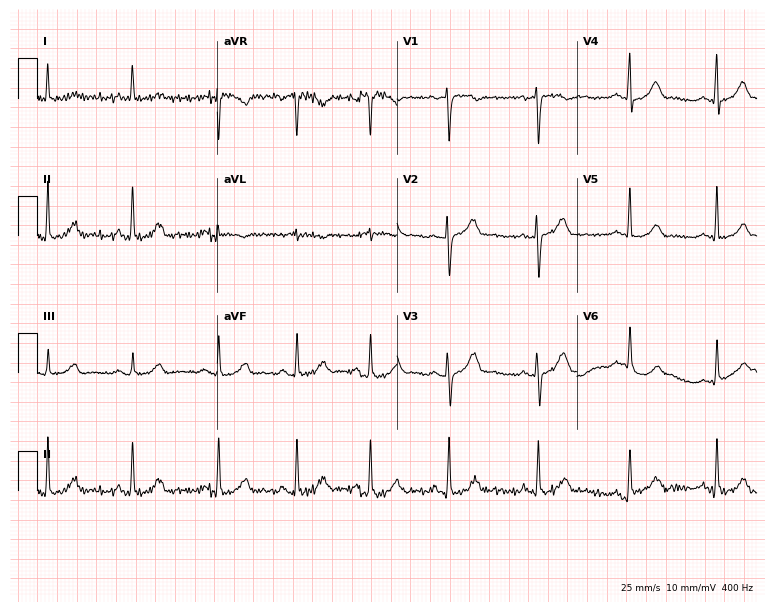
Resting 12-lead electrocardiogram. Patient: a female, 51 years old. None of these six findings is recorded: first-degree AV block, right bundle branch block (RBBB), left bundle branch block (LBBB), sinus bradycardia, atrial fibrillation (AF), sinus tachycardia.